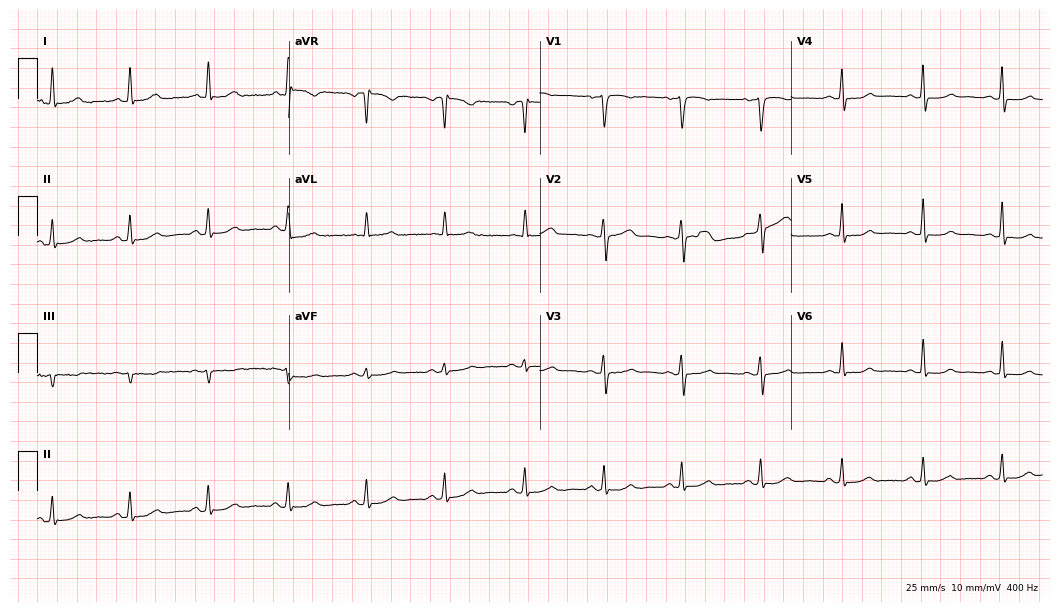
12-lead ECG (10.2-second recording at 400 Hz) from a 57-year-old woman. Labelled as a normal ECG.